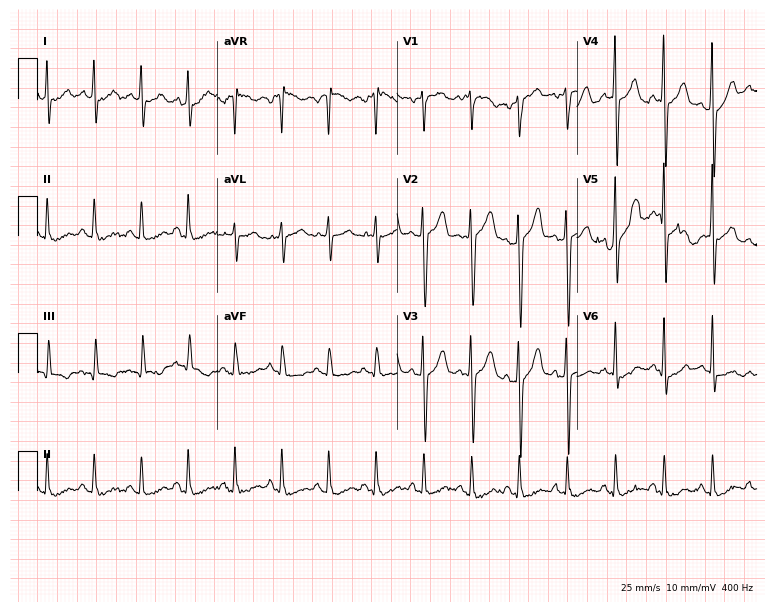
12-lead ECG from a man, 42 years old. Findings include sinus tachycardia (a sinus rate of 100 beats per minute or more).